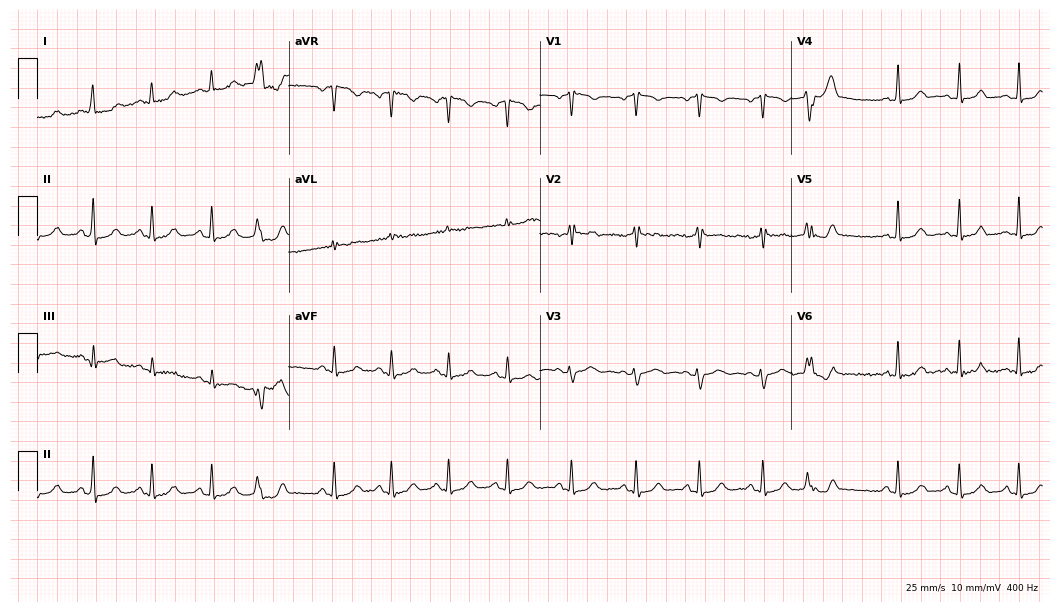
12-lead ECG from a female patient, 19 years old (10.2-second recording at 400 Hz). No first-degree AV block, right bundle branch block, left bundle branch block, sinus bradycardia, atrial fibrillation or sinus tachycardia recorded for this tracing.